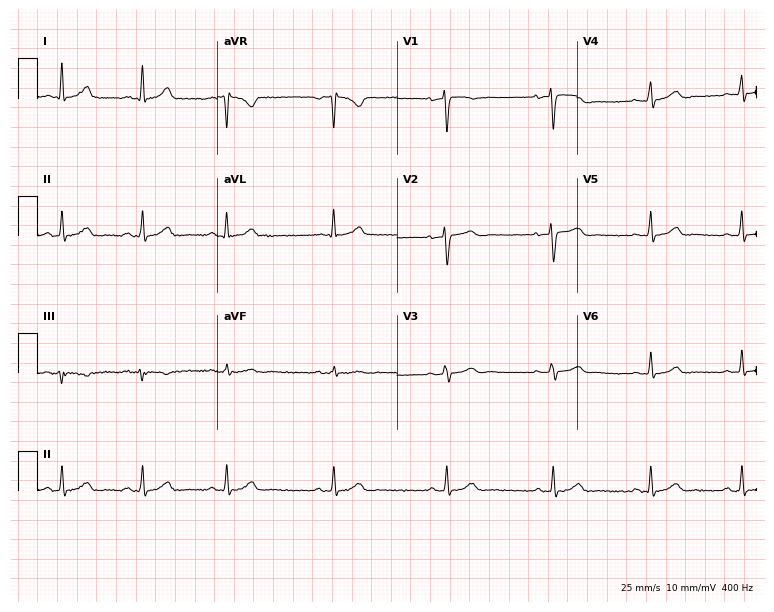
ECG (7.3-second recording at 400 Hz) — a female, 34 years old. Screened for six findings — first-degree AV block, right bundle branch block, left bundle branch block, sinus bradycardia, atrial fibrillation, sinus tachycardia — none is recorded. Only these six findings were labelled.